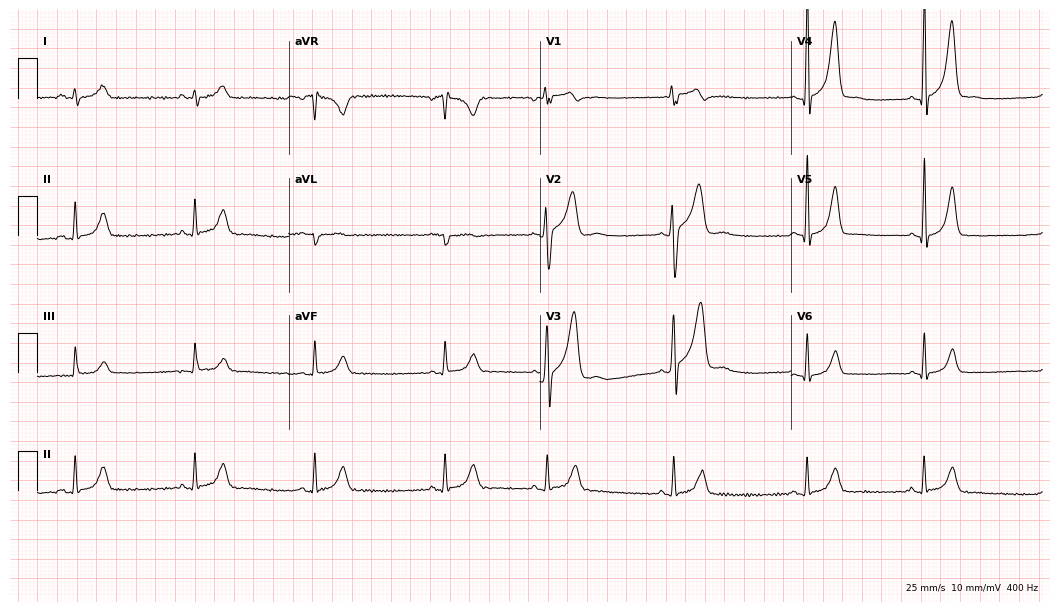
12-lead ECG (10.2-second recording at 400 Hz) from a 21-year-old man. Labelled as a normal ECG.